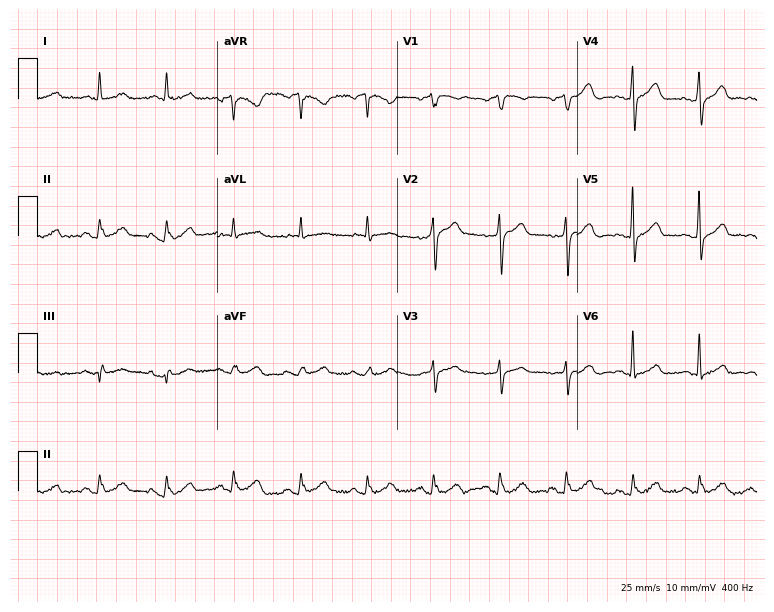
Standard 12-lead ECG recorded from a male patient, 58 years old (7.3-second recording at 400 Hz). Read as a normal ECG.